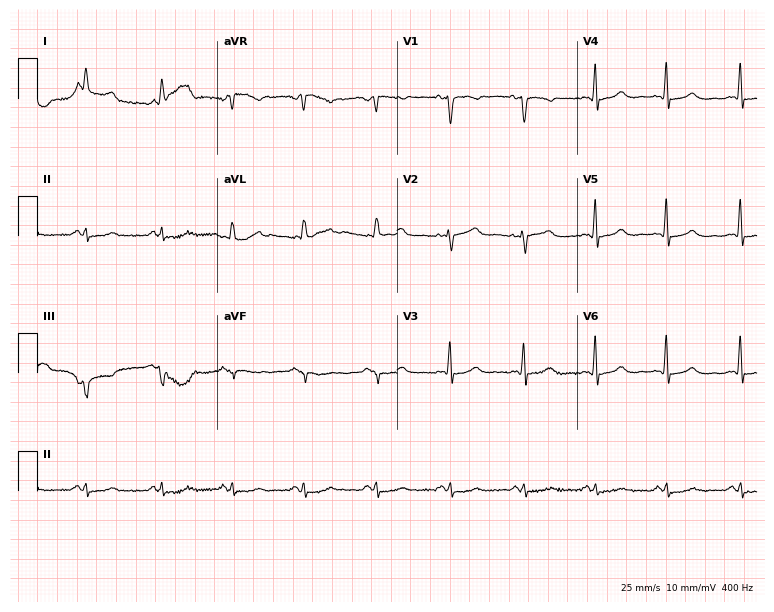
ECG (7.3-second recording at 400 Hz) — a woman, 59 years old. Screened for six findings — first-degree AV block, right bundle branch block, left bundle branch block, sinus bradycardia, atrial fibrillation, sinus tachycardia — none is recorded.